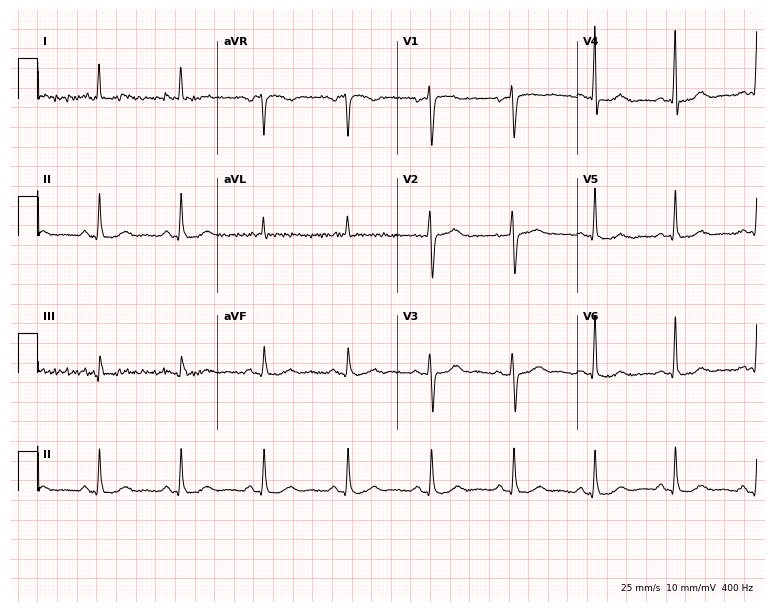
Standard 12-lead ECG recorded from a 63-year-old man (7.3-second recording at 400 Hz). Read as a normal ECG.